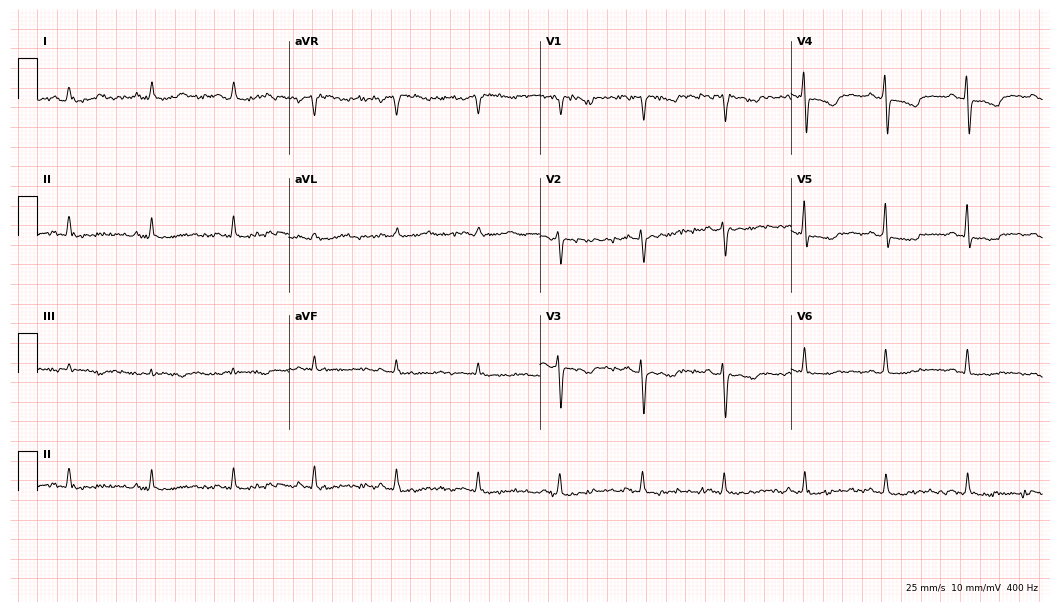
ECG (10.2-second recording at 400 Hz) — a woman, 46 years old. Screened for six findings — first-degree AV block, right bundle branch block, left bundle branch block, sinus bradycardia, atrial fibrillation, sinus tachycardia — none is recorded. Other findings, if any, are not listed.